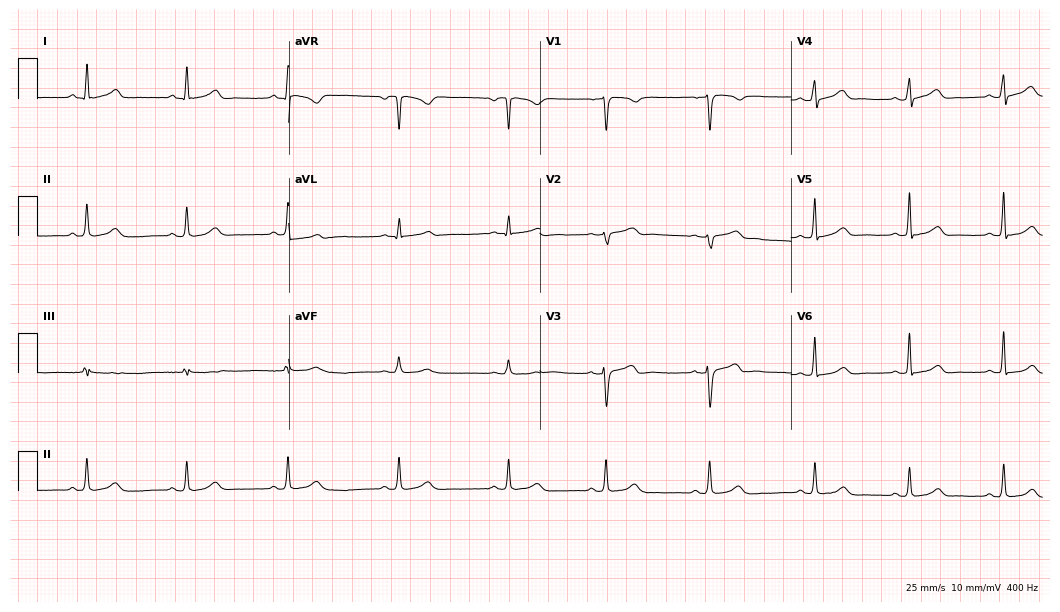
ECG — a 39-year-old woman. Labelled as a normal ECG.